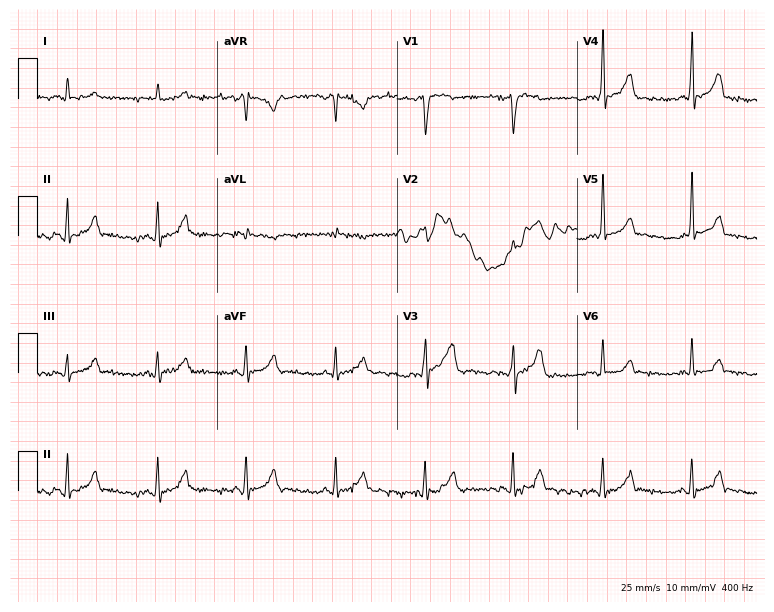
12-lead ECG from a man, 22 years old (7.3-second recording at 400 Hz). No first-degree AV block, right bundle branch block, left bundle branch block, sinus bradycardia, atrial fibrillation or sinus tachycardia recorded for this tracing. Only these six findings were labelled.